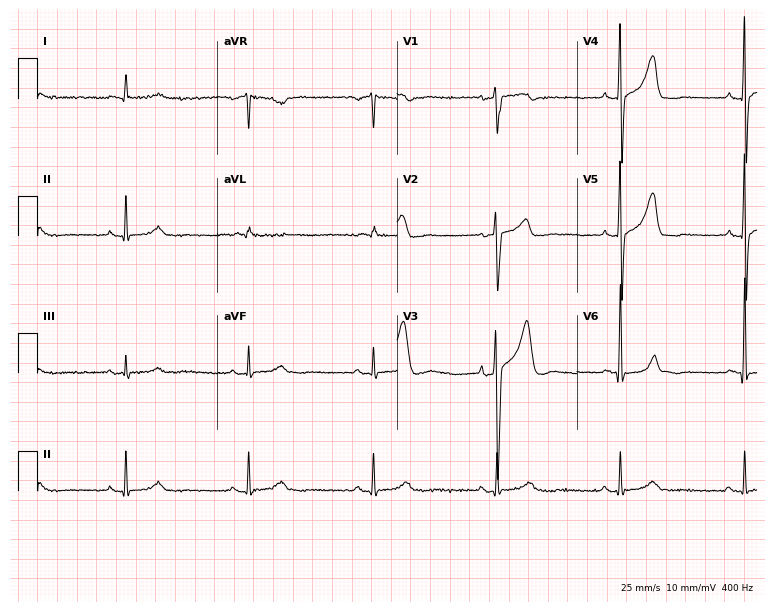
ECG — a male, 59 years old. Findings include sinus bradycardia (a sinus rate of 50 beats per minute or less).